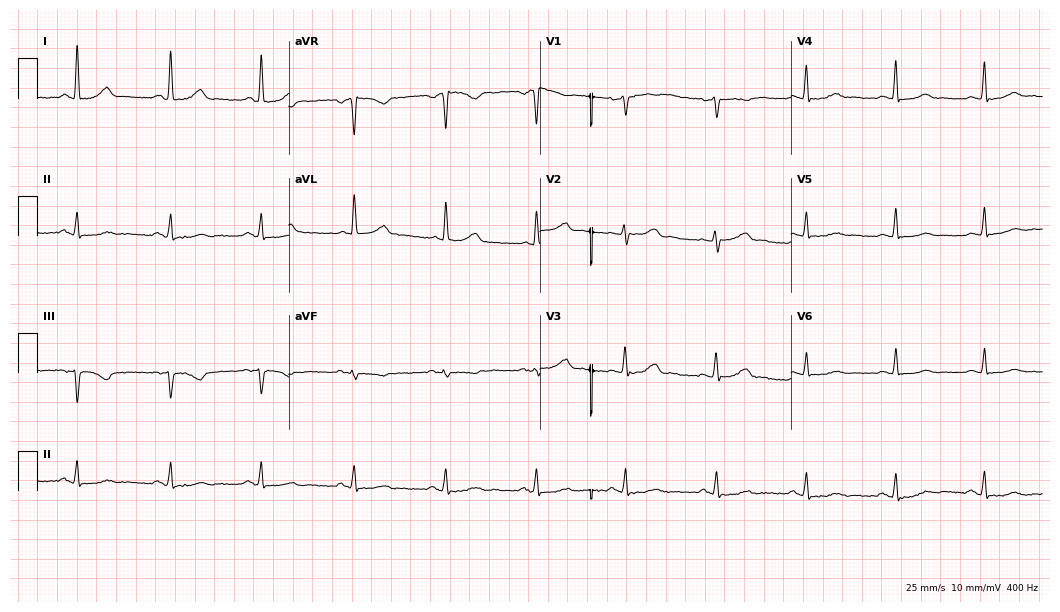
ECG — a 54-year-old female patient. Screened for six findings — first-degree AV block, right bundle branch block (RBBB), left bundle branch block (LBBB), sinus bradycardia, atrial fibrillation (AF), sinus tachycardia — none is recorded.